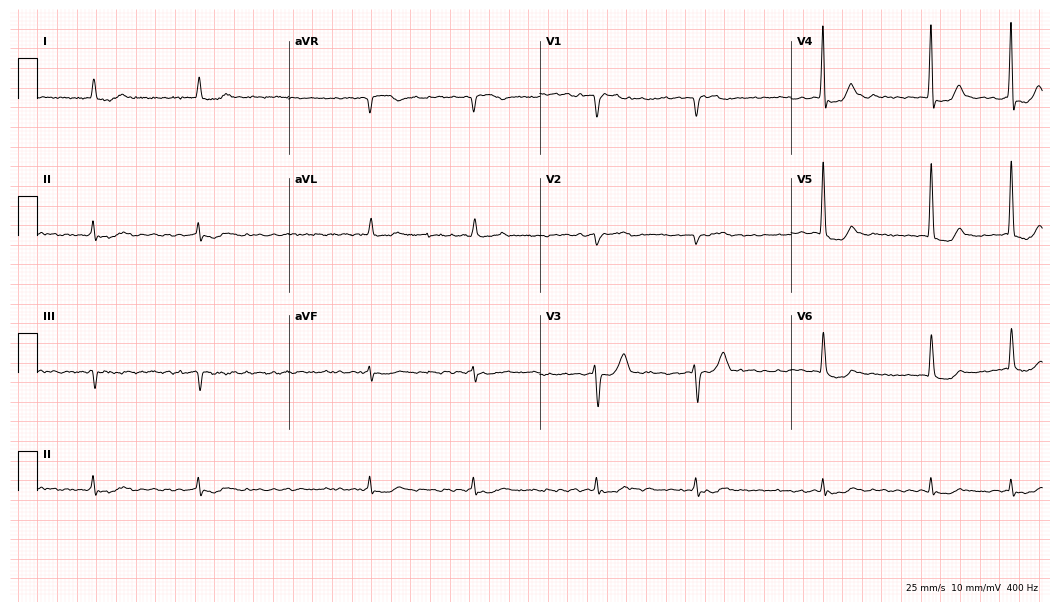
12-lead ECG from an 85-year-old male patient (10.2-second recording at 400 Hz). Shows atrial fibrillation (AF).